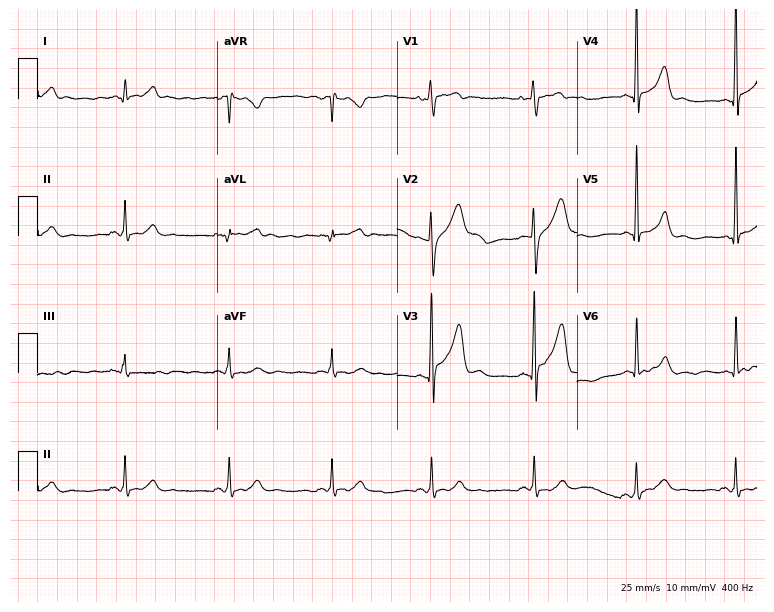
12-lead ECG from a male patient, 37 years old (7.3-second recording at 400 Hz). No first-degree AV block, right bundle branch block, left bundle branch block, sinus bradycardia, atrial fibrillation or sinus tachycardia recorded for this tracing.